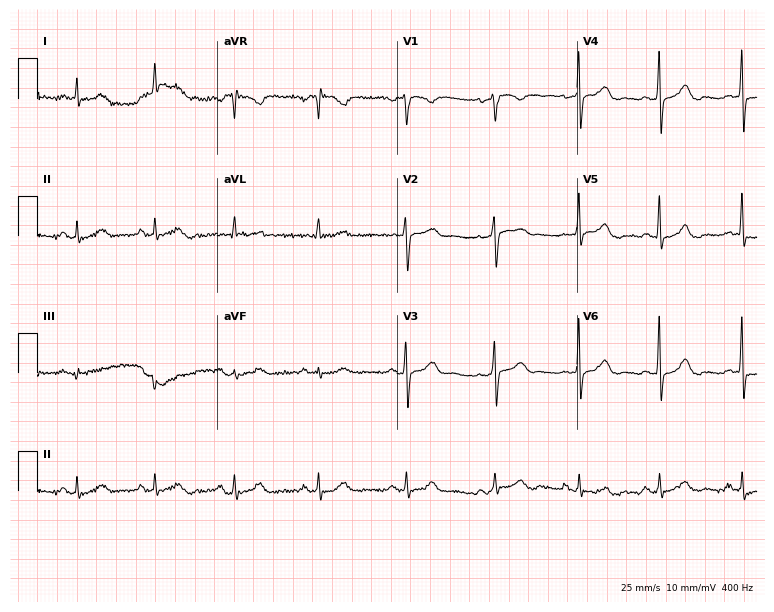
12-lead ECG from a 49-year-old female patient. Labelled as a normal ECG.